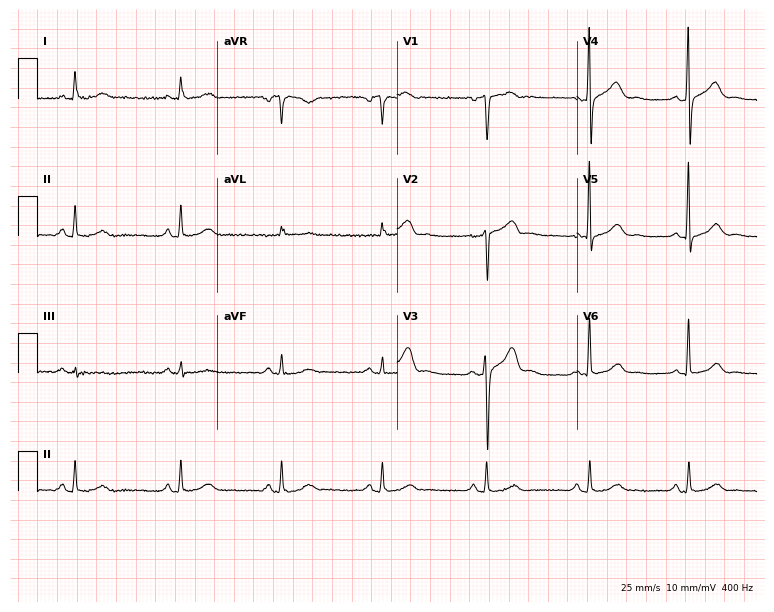
ECG (7.3-second recording at 400 Hz) — a male patient, 58 years old. Labelled as a normal ECG.